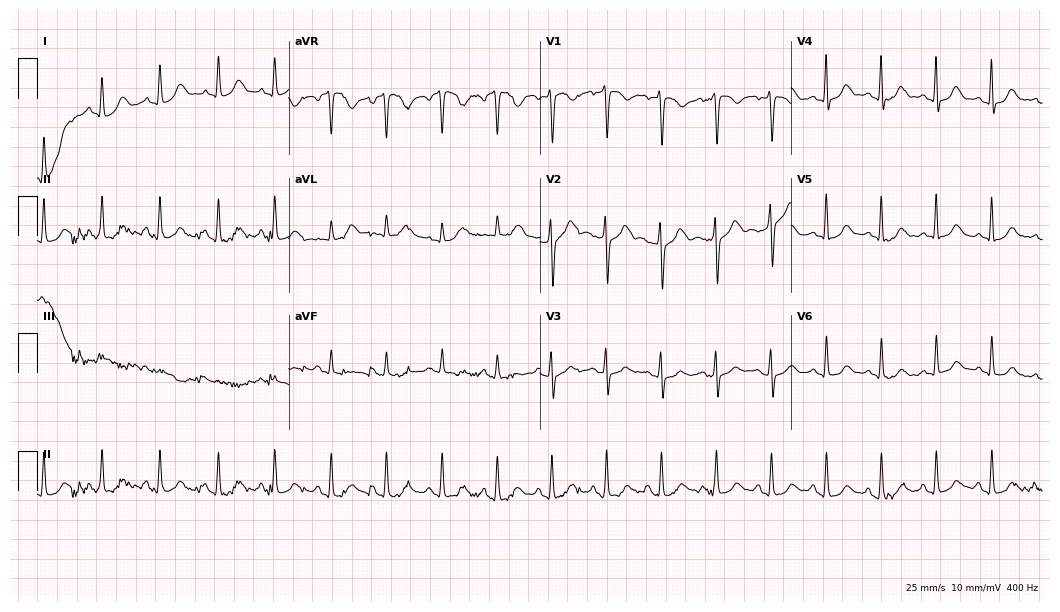
12-lead ECG from a 30-year-old woman. Findings include sinus tachycardia (a sinus rate of 100 beats per minute or more).